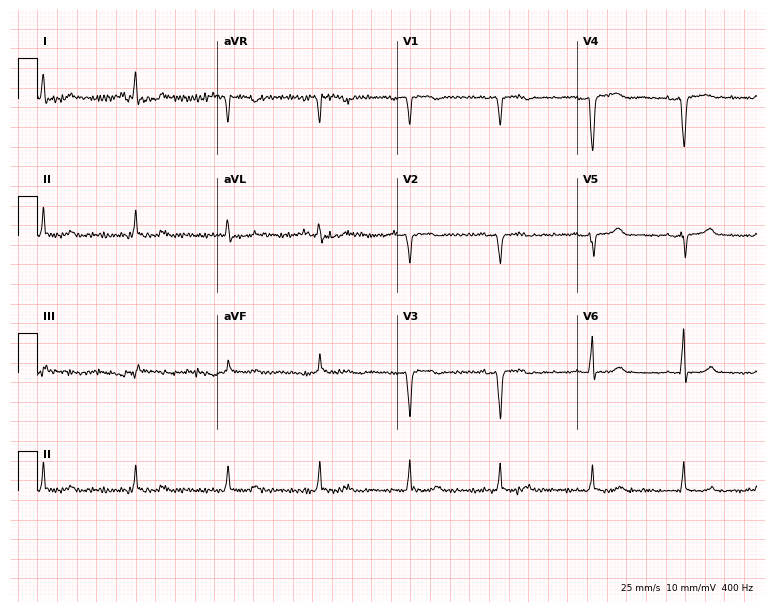
Electrocardiogram (7.3-second recording at 400 Hz), a female patient, 54 years old. Of the six screened findings (first-degree AV block, right bundle branch block (RBBB), left bundle branch block (LBBB), sinus bradycardia, atrial fibrillation (AF), sinus tachycardia), none is recorded. Only these six findings were labelled.